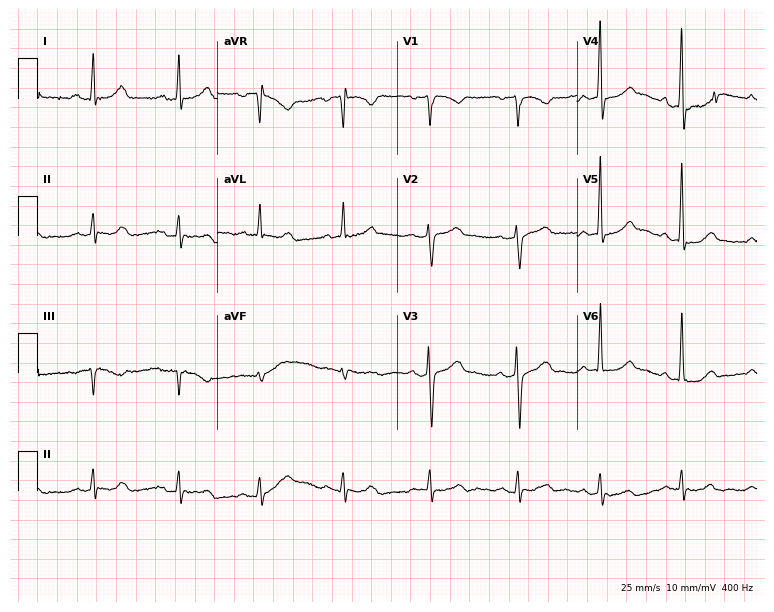
Standard 12-lead ECG recorded from a female, 48 years old. Read as a normal ECG.